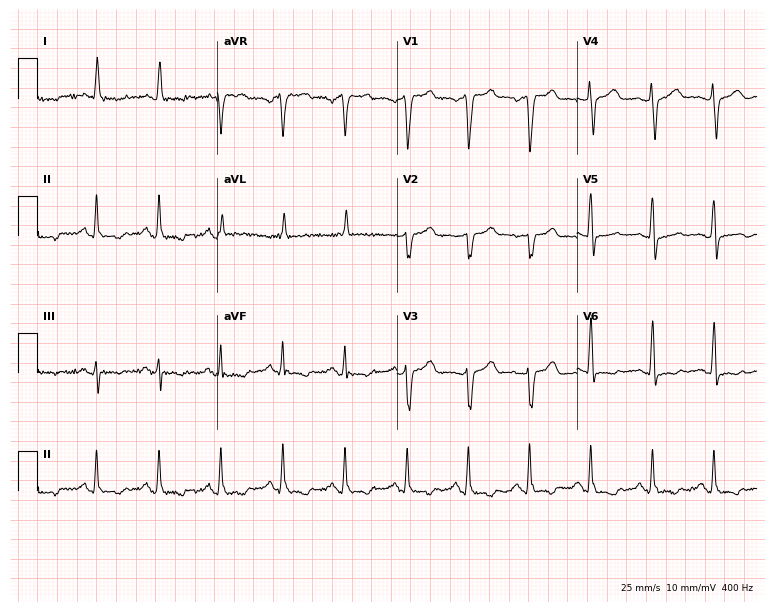
Electrocardiogram, a male, 74 years old. Of the six screened findings (first-degree AV block, right bundle branch block (RBBB), left bundle branch block (LBBB), sinus bradycardia, atrial fibrillation (AF), sinus tachycardia), none is recorded.